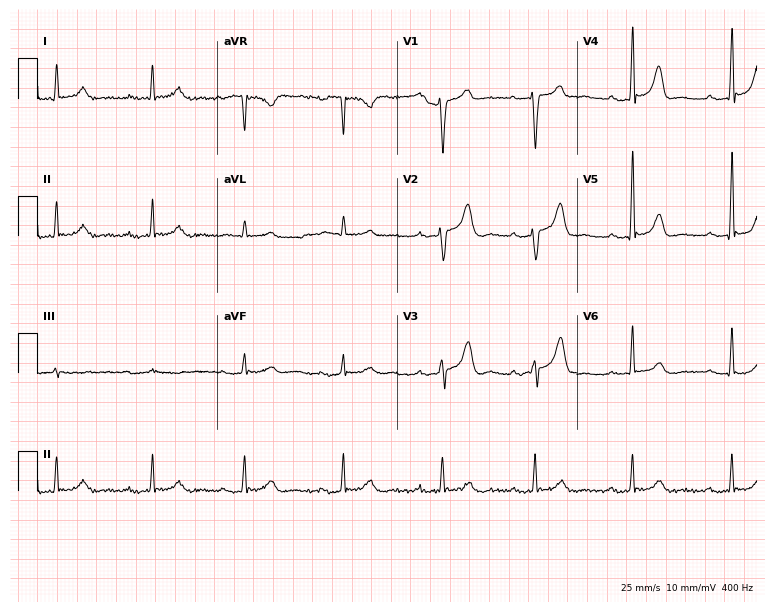
12-lead ECG (7.3-second recording at 400 Hz) from a 61-year-old man. Screened for six findings — first-degree AV block, right bundle branch block, left bundle branch block, sinus bradycardia, atrial fibrillation, sinus tachycardia — none is recorded. Other findings, if any, are not listed.